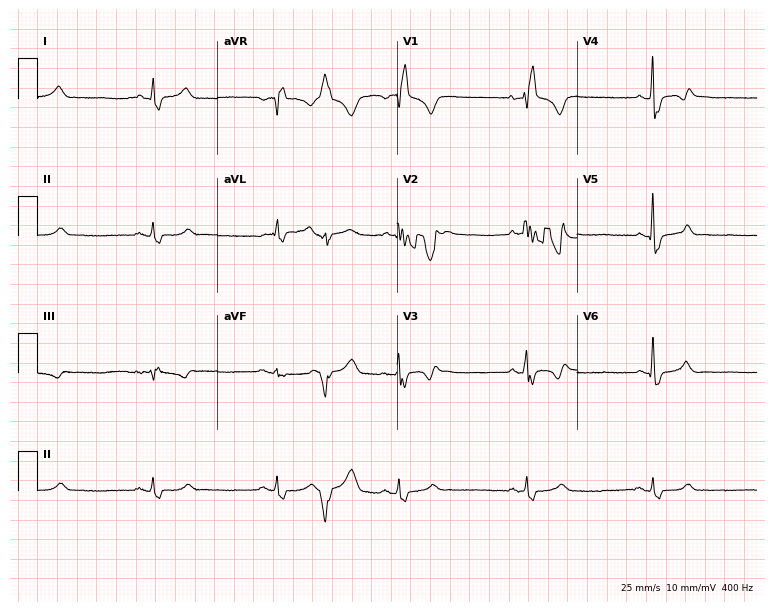
Resting 12-lead electrocardiogram (7.3-second recording at 400 Hz). Patient: a 50-year-old female. The tracing shows right bundle branch block.